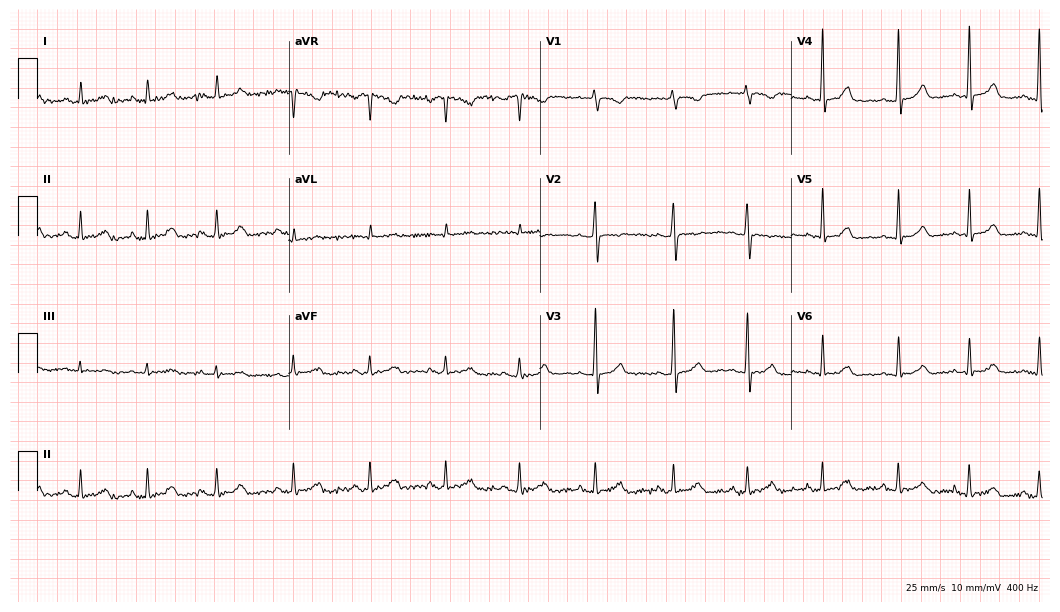
ECG — a woman, 46 years old. Screened for six findings — first-degree AV block, right bundle branch block, left bundle branch block, sinus bradycardia, atrial fibrillation, sinus tachycardia — none is recorded. Other findings, if any, are not listed.